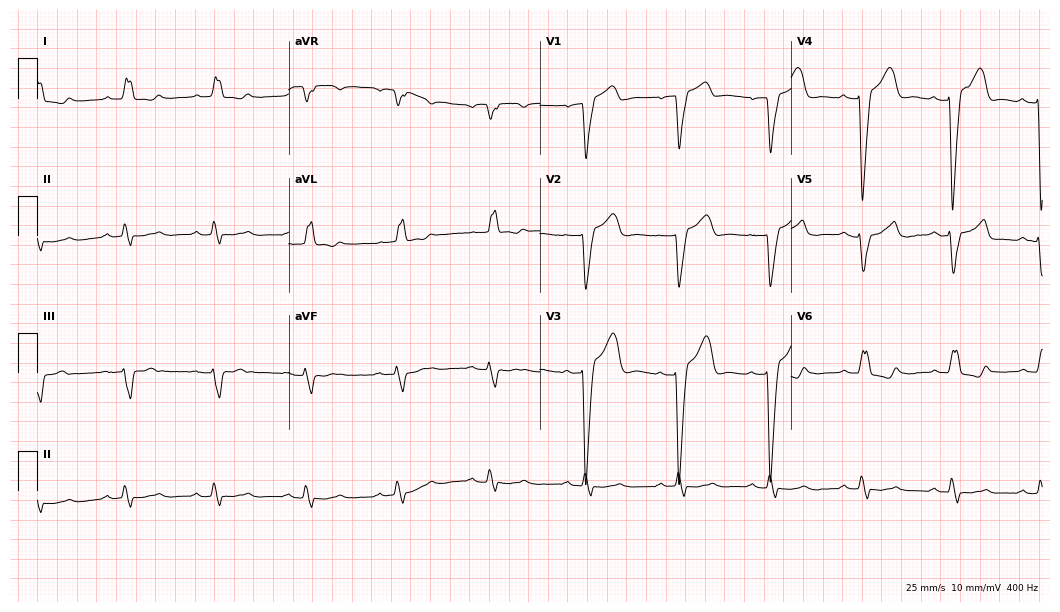
Resting 12-lead electrocardiogram. Patient: a 70-year-old man. The tracing shows left bundle branch block.